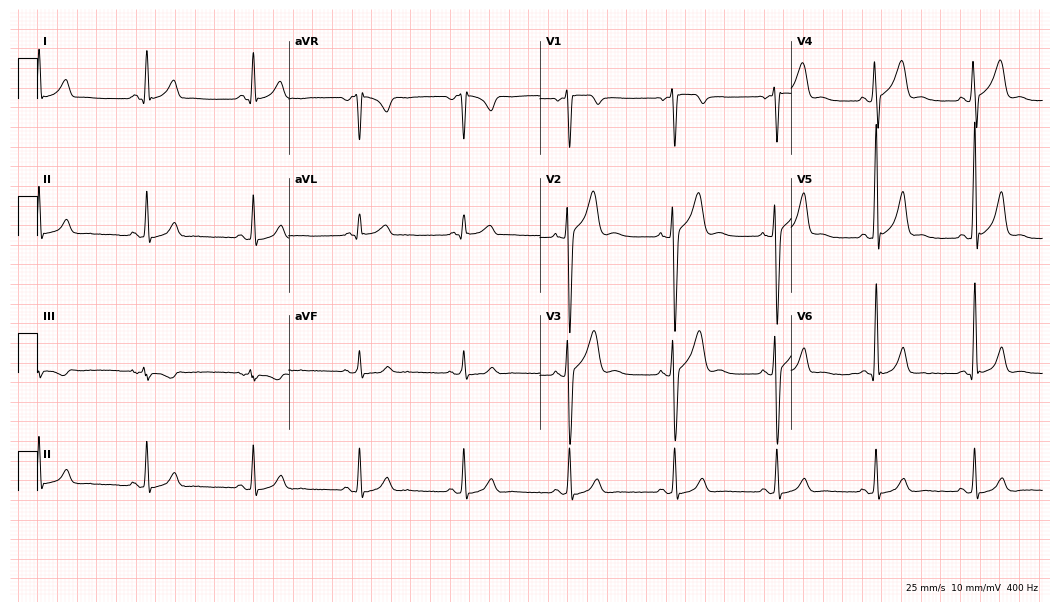
Resting 12-lead electrocardiogram (10.2-second recording at 400 Hz). Patient: a male, 24 years old. None of these six findings is recorded: first-degree AV block, right bundle branch block, left bundle branch block, sinus bradycardia, atrial fibrillation, sinus tachycardia.